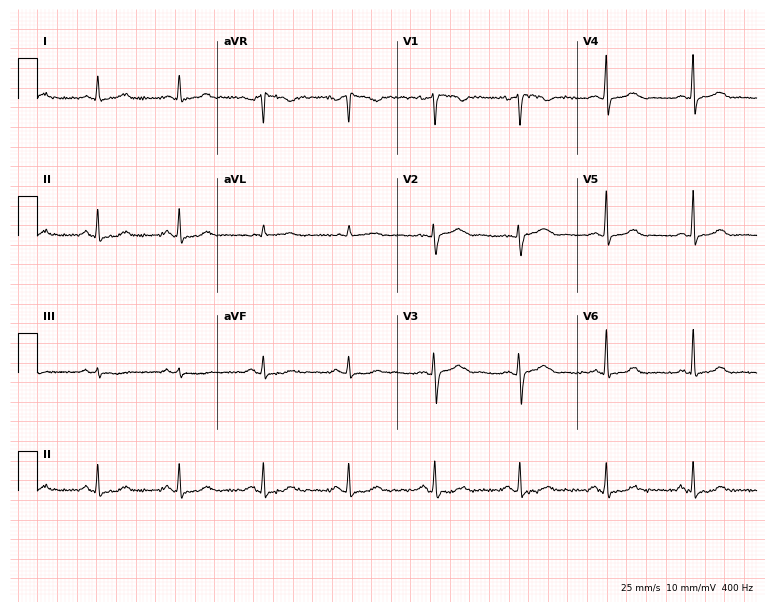
12-lead ECG from a 39-year-old female patient. Screened for six findings — first-degree AV block, right bundle branch block, left bundle branch block, sinus bradycardia, atrial fibrillation, sinus tachycardia — none is recorded. Other findings, if any, are not listed.